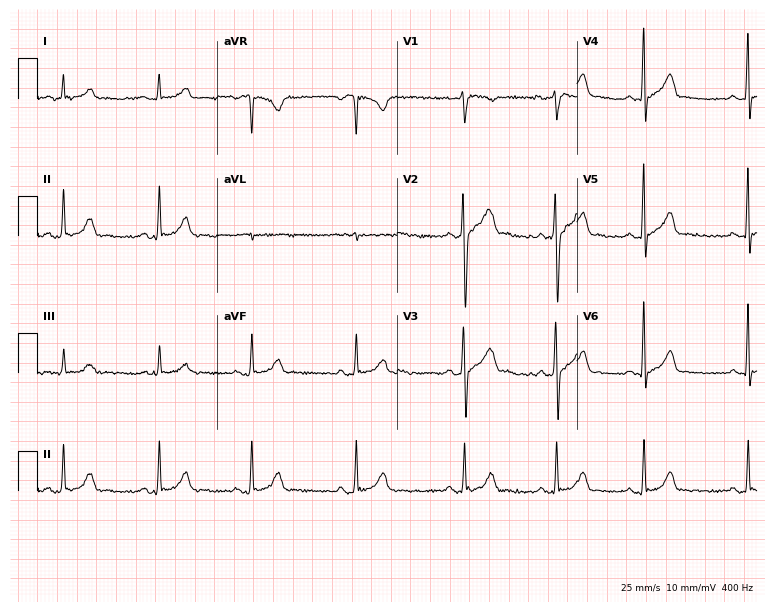
Electrocardiogram, a male patient, 29 years old. Overall reading on record: normal ECG.